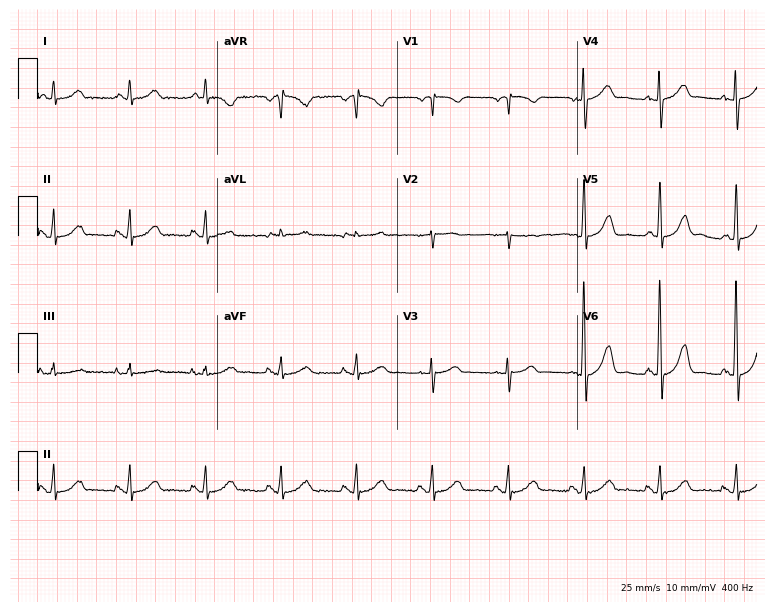
Electrocardiogram, a 79-year-old female patient. Overall reading on record: normal ECG.